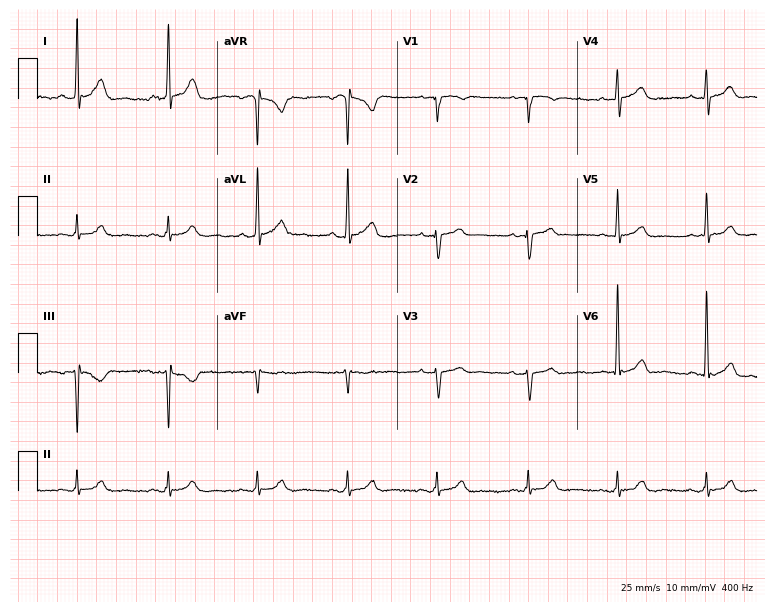
12-lead ECG from a male patient, 69 years old. Labelled as a normal ECG.